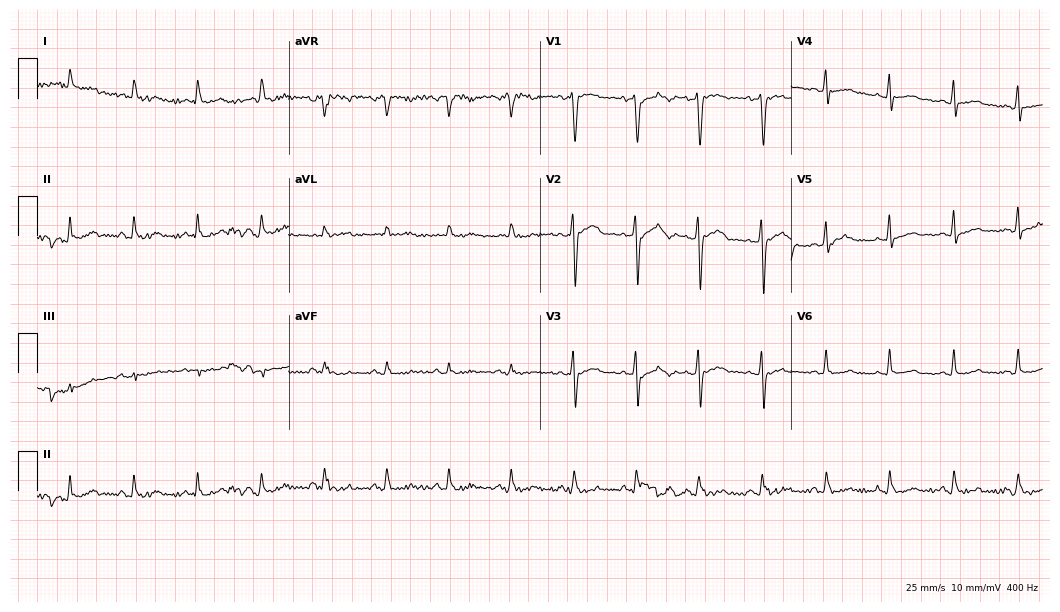
Resting 12-lead electrocardiogram. Patient: a 55-year-old male. None of these six findings is recorded: first-degree AV block, right bundle branch block, left bundle branch block, sinus bradycardia, atrial fibrillation, sinus tachycardia. Findings outside these six are not listed.